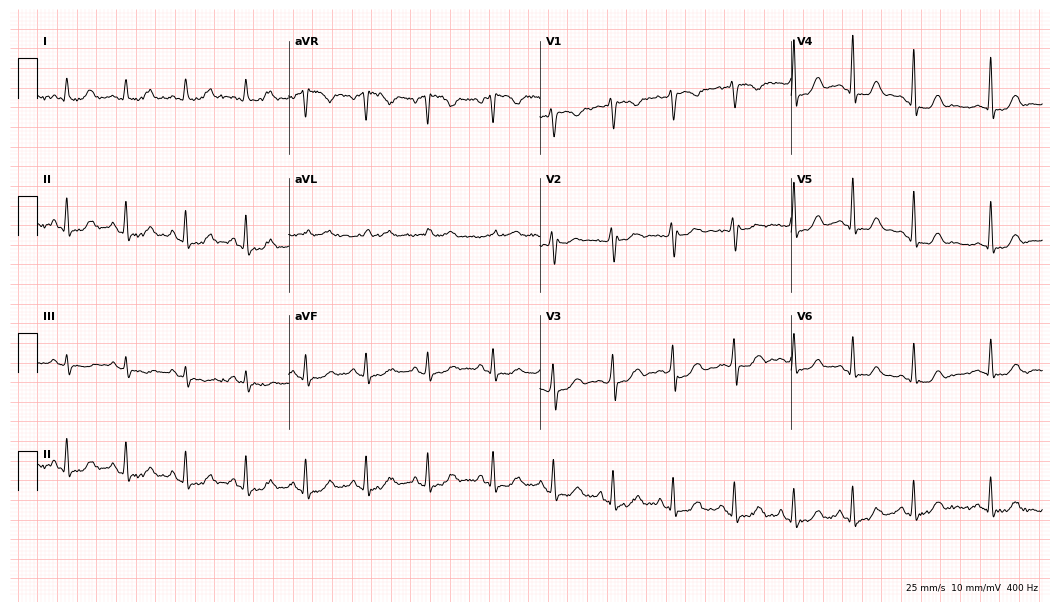
12-lead ECG from a 44-year-old woman (10.2-second recording at 400 Hz). Recorded interpretation: within normal limits.